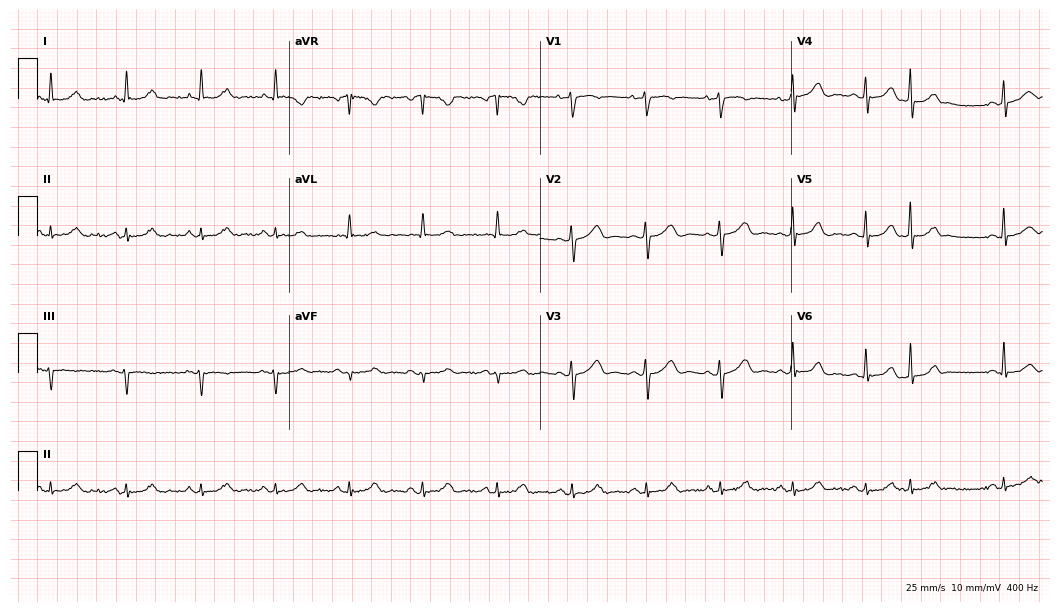
12-lead ECG (10.2-second recording at 400 Hz) from a woman, 82 years old. Screened for six findings — first-degree AV block, right bundle branch block, left bundle branch block, sinus bradycardia, atrial fibrillation, sinus tachycardia — none is recorded. Only these six findings were labelled.